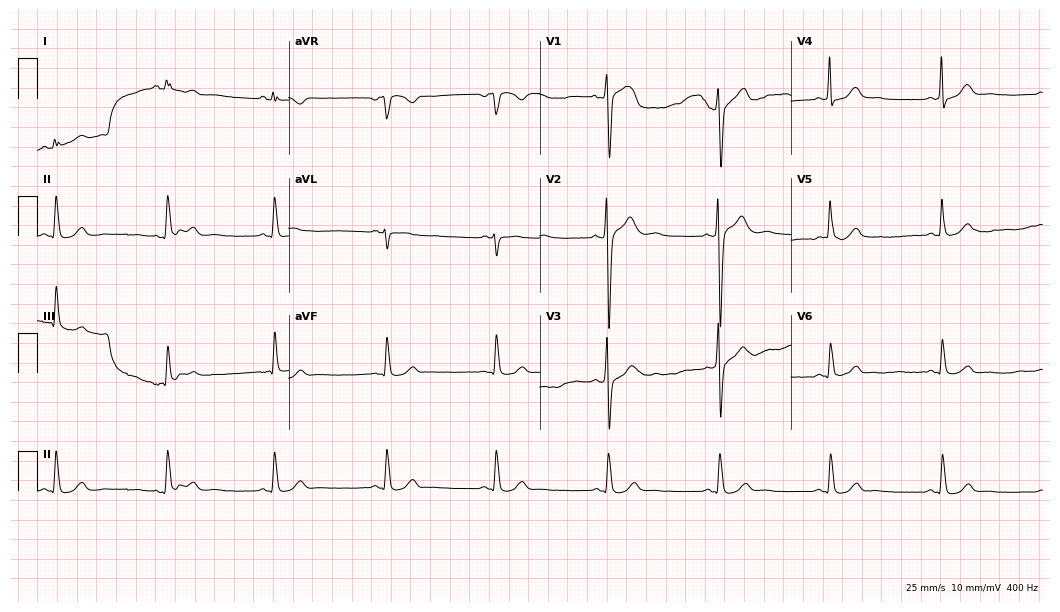
12-lead ECG (10.2-second recording at 400 Hz) from a male, 38 years old. Screened for six findings — first-degree AV block, right bundle branch block, left bundle branch block, sinus bradycardia, atrial fibrillation, sinus tachycardia — none is recorded. Other findings, if any, are not listed.